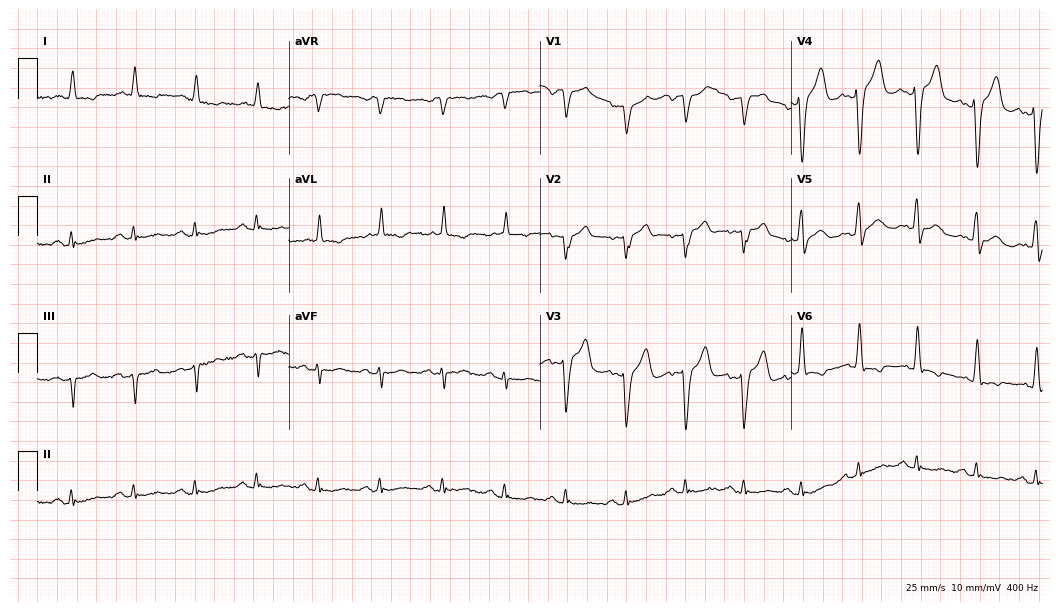
12-lead ECG from a 72-year-old male. No first-degree AV block, right bundle branch block, left bundle branch block, sinus bradycardia, atrial fibrillation or sinus tachycardia recorded for this tracing.